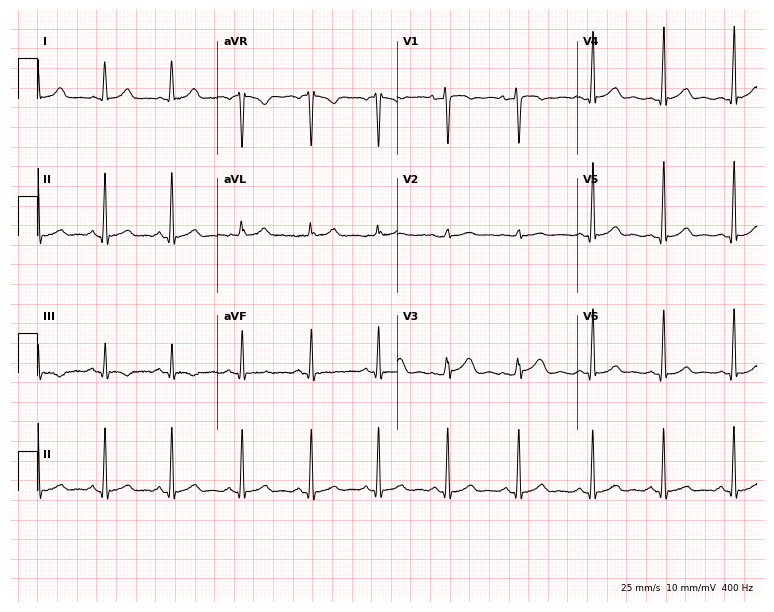
Standard 12-lead ECG recorded from a female, 29 years old (7.3-second recording at 400 Hz). None of these six findings is recorded: first-degree AV block, right bundle branch block (RBBB), left bundle branch block (LBBB), sinus bradycardia, atrial fibrillation (AF), sinus tachycardia.